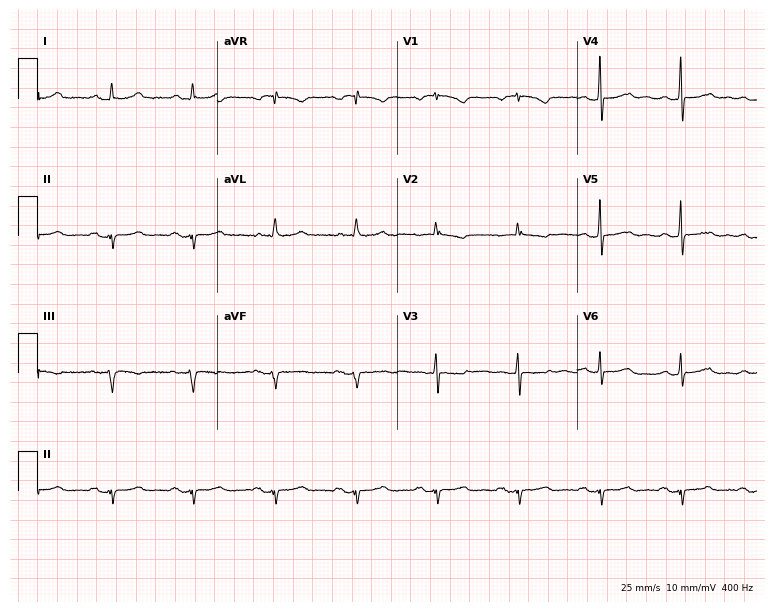
Standard 12-lead ECG recorded from a female patient, 76 years old (7.3-second recording at 400 Hz). None of these six findings is recorded: first-degree AV block, right bundle branch block, left bundle branch block, sinus bradycardia, atrial fibrillation, sinus tachycardia. Only these six findings were labelled.